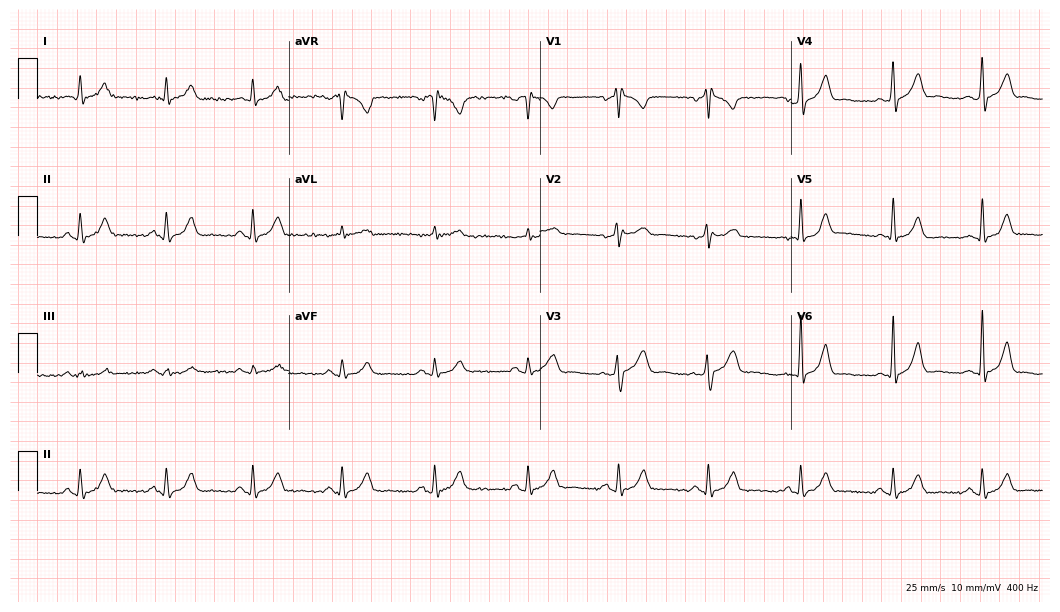
Standard 12-lead ECG recorded from a 45-year-old man (10.2-second recording at 400 Hz). None of these six findings is recorded: first-degree AV block, right bundle branch block (RBBB), left bundle branch block (LBBB), sinus bradycardia, atrial fibrillation (AF), sinus tachycardia.